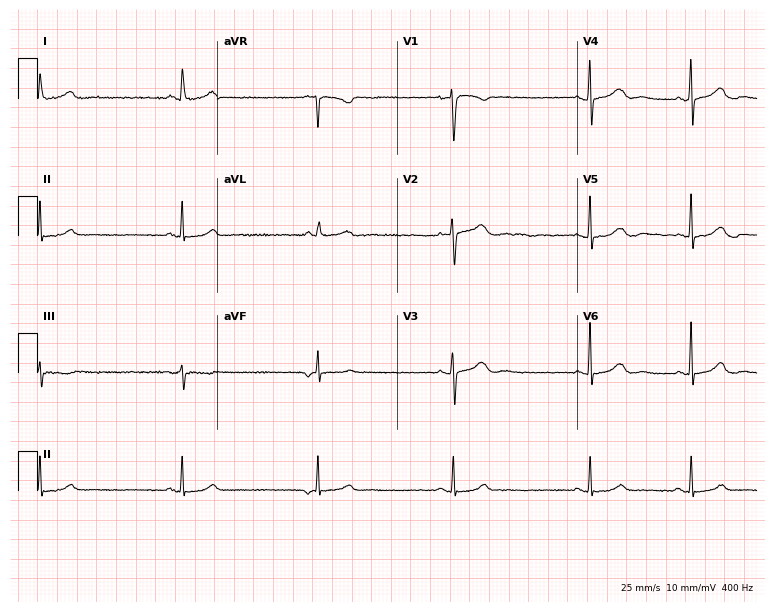
Resting 12-lead electrocardiogram (7.3-second recording at 400 Hz). Patient: a female, 47 years old. The tracing shows sinus bradycardia (a sinus rate of 50 beats per minute or less).